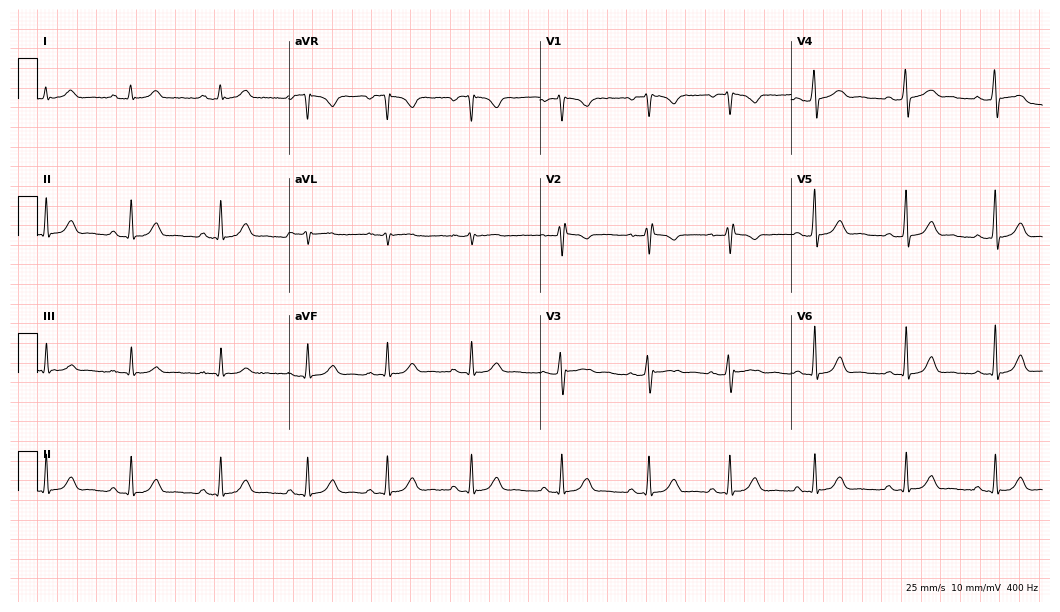
Electrocardiogram, a woman, 38 years old. Overall reading on record: normal ECG.